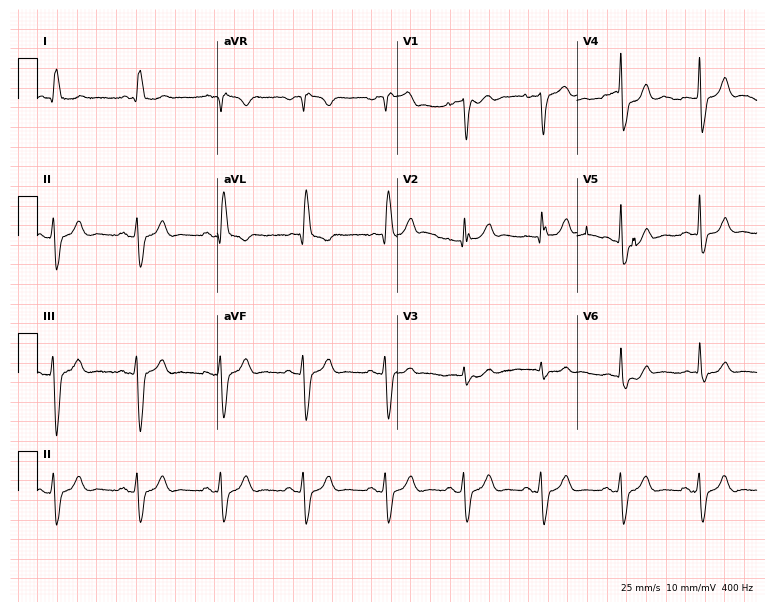
Resting 12-lead electrocardiogram (7.3-second recording at 400 Hz). Patient: a 71-year-old man. None of these six findings is recorded: first-degree AV block, right bundle branch block, left bundle branch block, sinus bradycardia, atrial fibrillation, sinus tachycardia. Only these six findings were labelled.